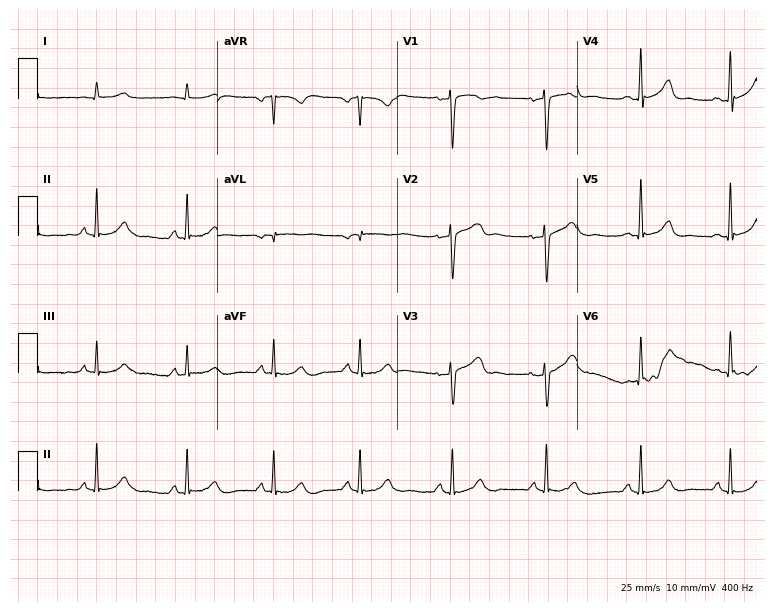
Electrocardiogram, a 60-year-old male patient. Overall reading on record: normal ECG.